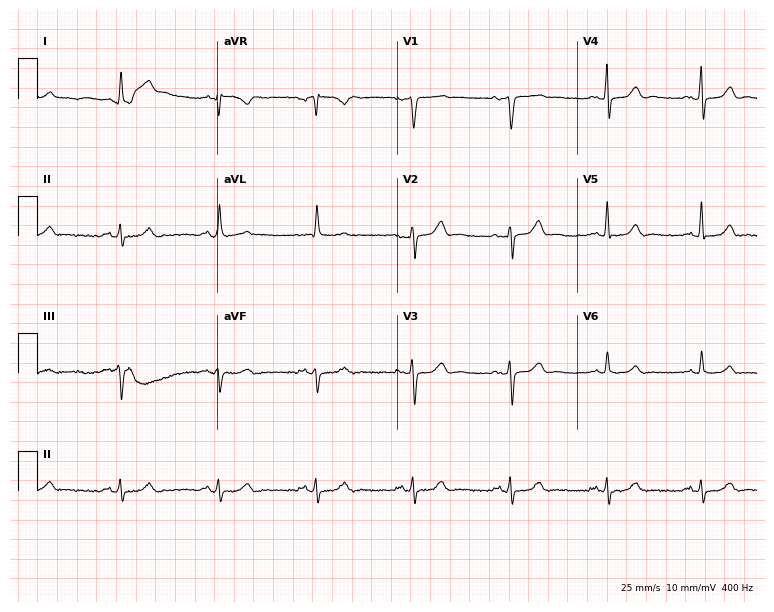
12-lead ECG from a 69-year-old man. Recorded interpretation: within normal limits.